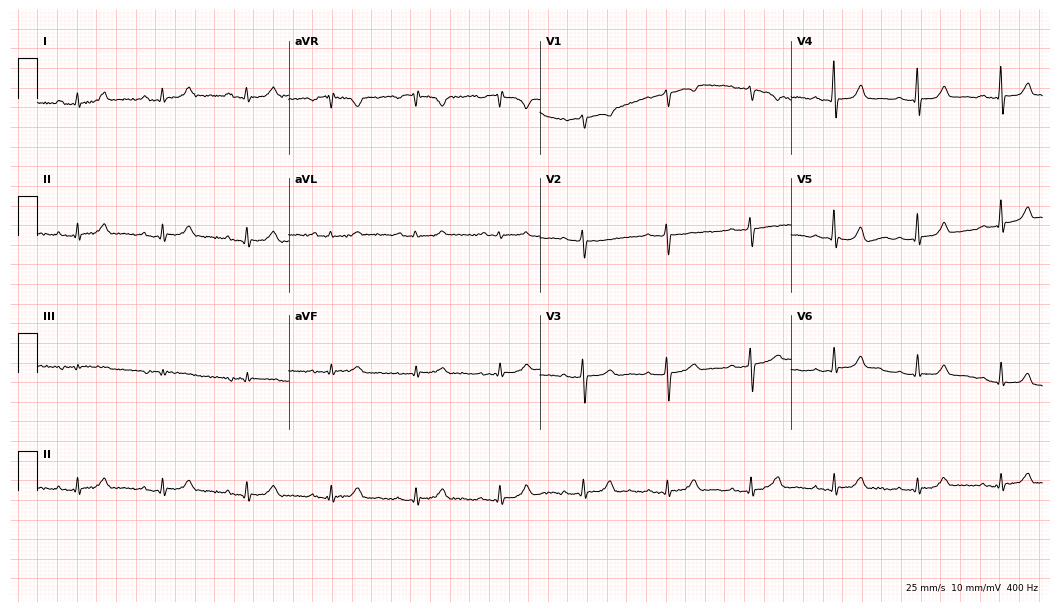
12-lead ECG from an 81-year-old female. Labelled as a normal ECG.